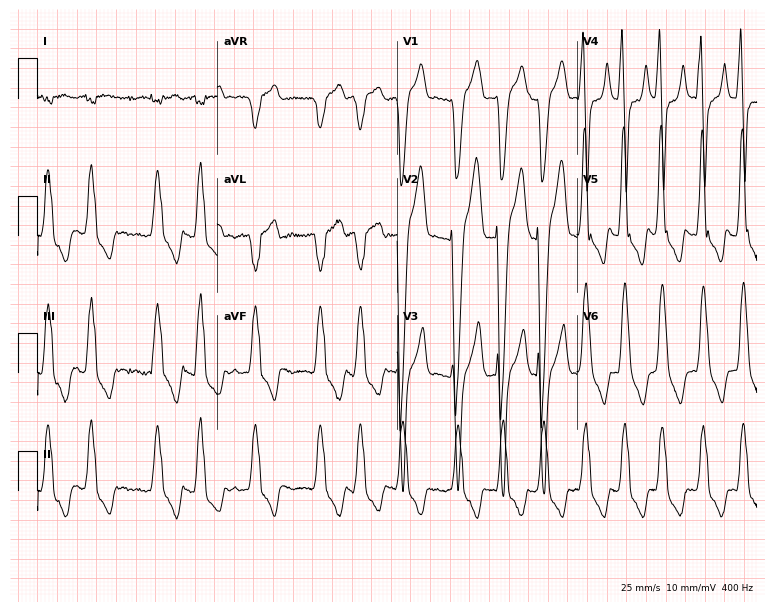
12-lead ECG from a female patient, 68 years old. Findings include left bundle branch block, atrial fibrillation.